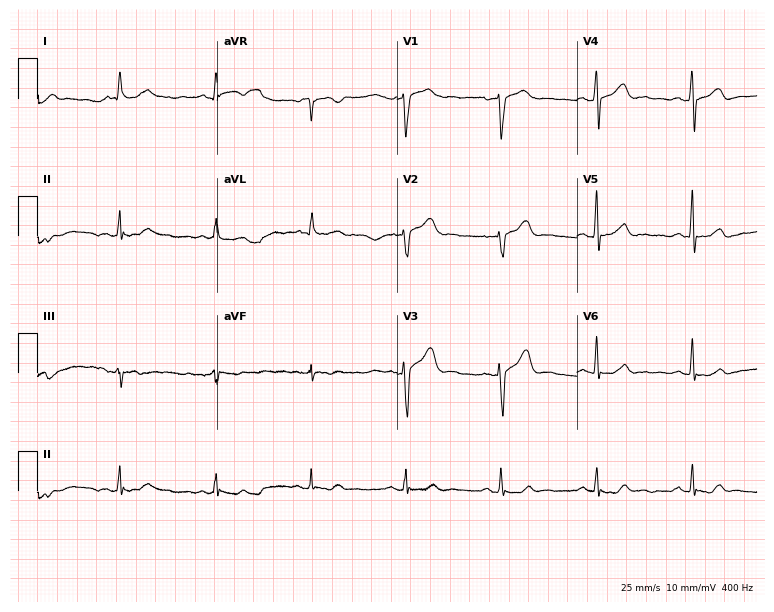
Resting 12-lead electrocardiogram. Patient: a man, 86 years old. Read as a normal ECG.